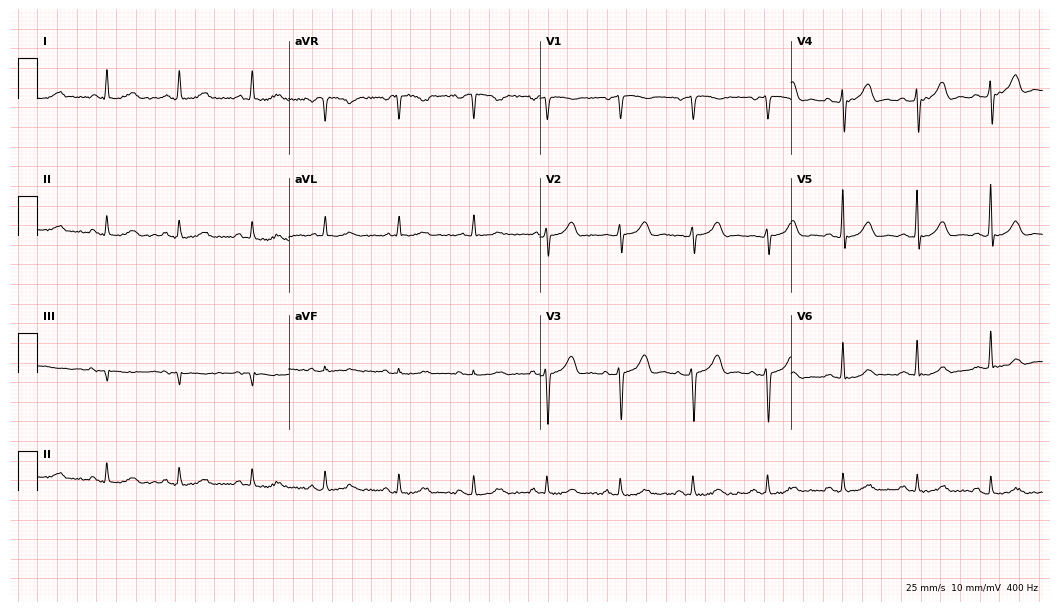
12-lead ECG from an 82-year-old female (10.2-second recording at 400 Hz). Recorded interpretation: within normal limits.